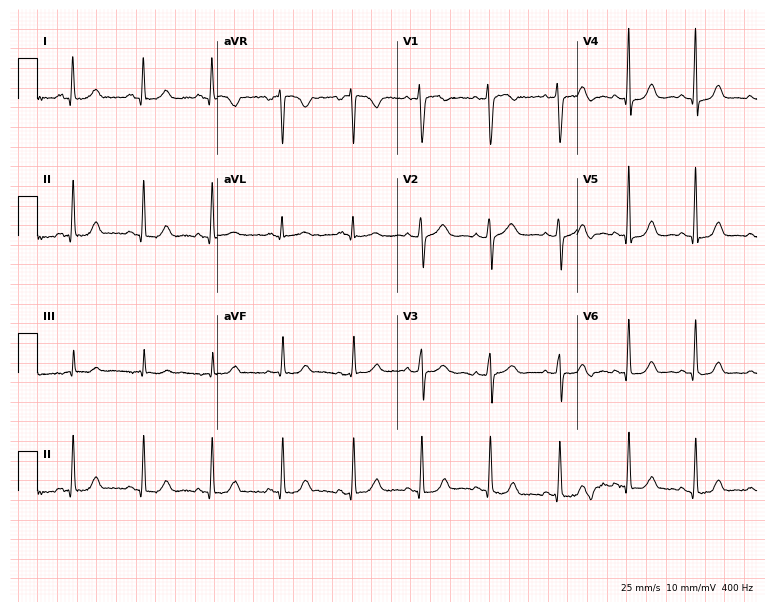
Resting 12-lead electrocardiogram. Patient: a woman, 34 years old. None of these six findings is recorded: first-degree AV block, right bundle branch block, left bundle branch block, sinus bradycardia, atrial fibrillation, sinus tachycardia.